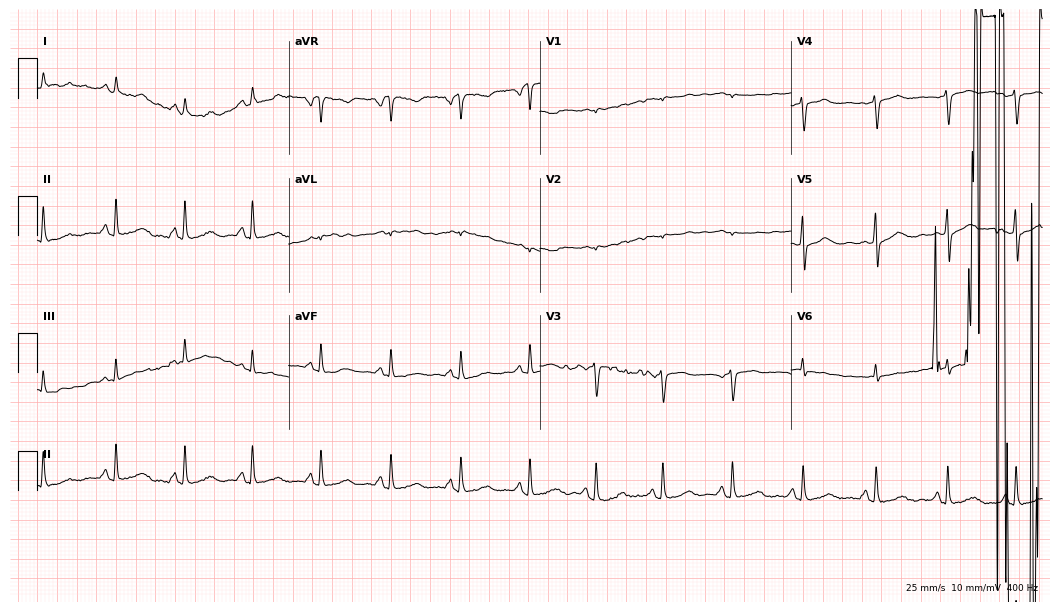
12-lead ECG from a 54-year-old female. No first-degree AV block, right bundle branch block, left bundle branch block, sinus bradycardia, atrial fibrillation or sinus tachycardia recorded for this tracing.